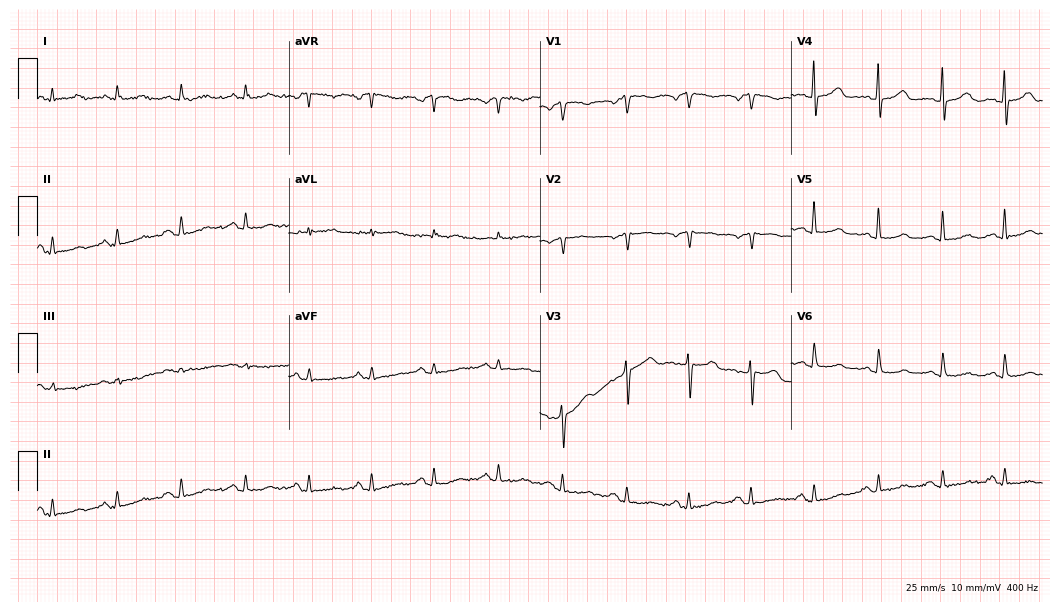
Standard 12-lead ECG recorded from a woman, 73 years old. None of these six findings is recorded: first-degree AV block, right bundle branch block, left bundle branch block, sinus bradycardia, atrial fibrillation, sinus tachycardia. Other findings, if any, are not listed.